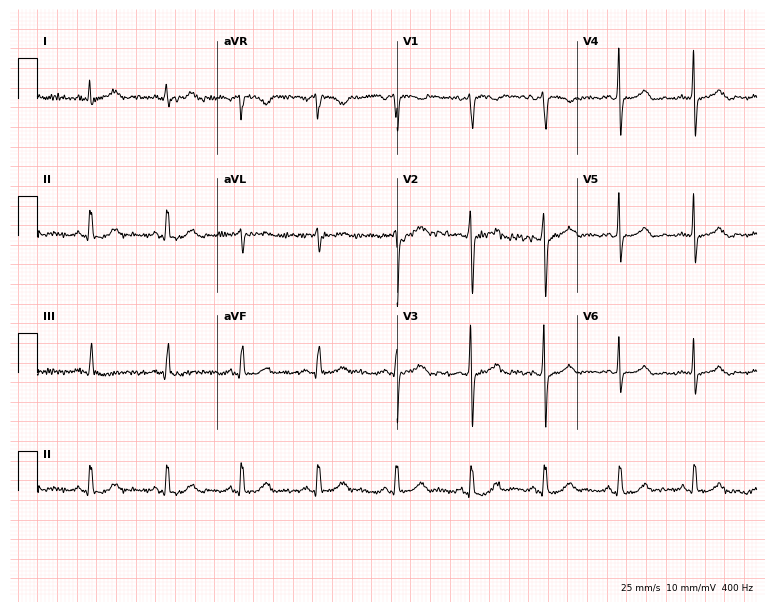
ECG — a woman, 45 years old. Labelled as a normal ECG.